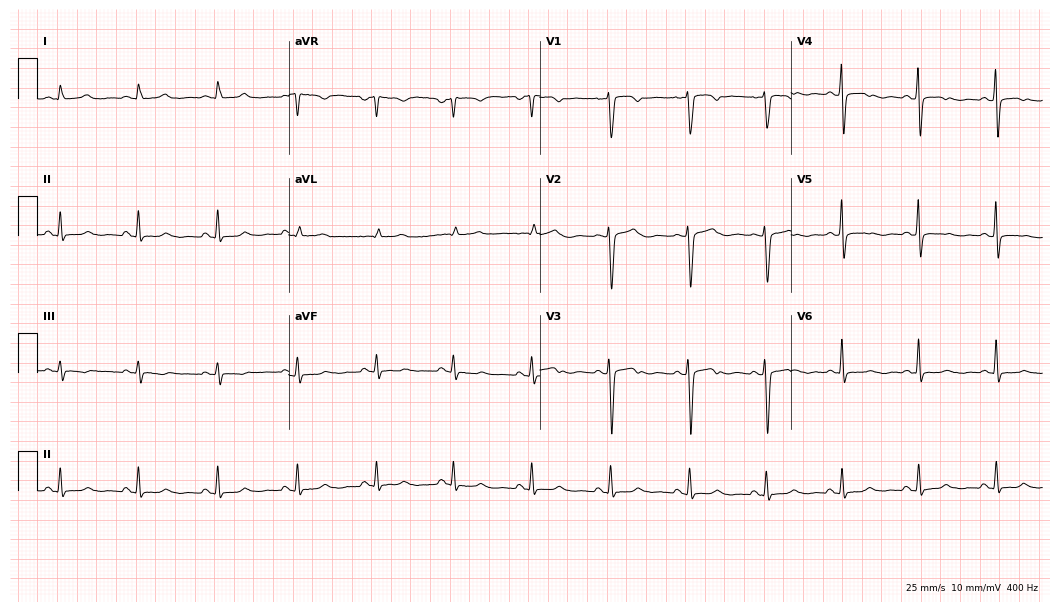
ECG — a 55-year-old female patient. Screened for six findings — first-degree AV block, right bundle branch block (RBBB), left bundle branch block (LBBB), sinus bradycardia, atrial fibrillation (AF), sinus tachycardia — none is recorded.